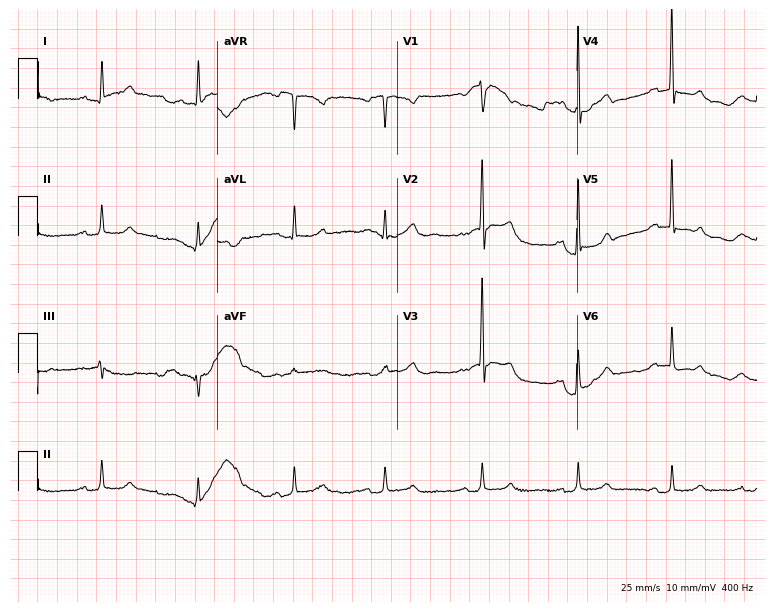
Standard 12-lead ECG recorded from a woman, 34 years old. None of these six findings is recorded: first-degree AV block, right bundle branch block, left bundle branch block, sinus bradycardia, atrial fibrillation, sinus tachycardia.